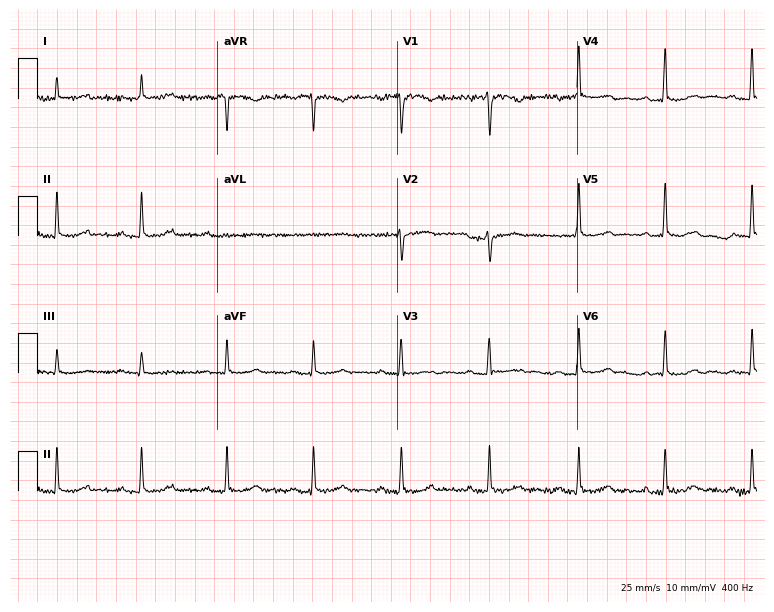
12-lead ECG from a 51-year-old female. Screened for six findings — first-degree AV block, right bundle branch block, left bundle branch block, sinus bradycardia, atrial fibrillation, sinus tachycardia — none is recorded.